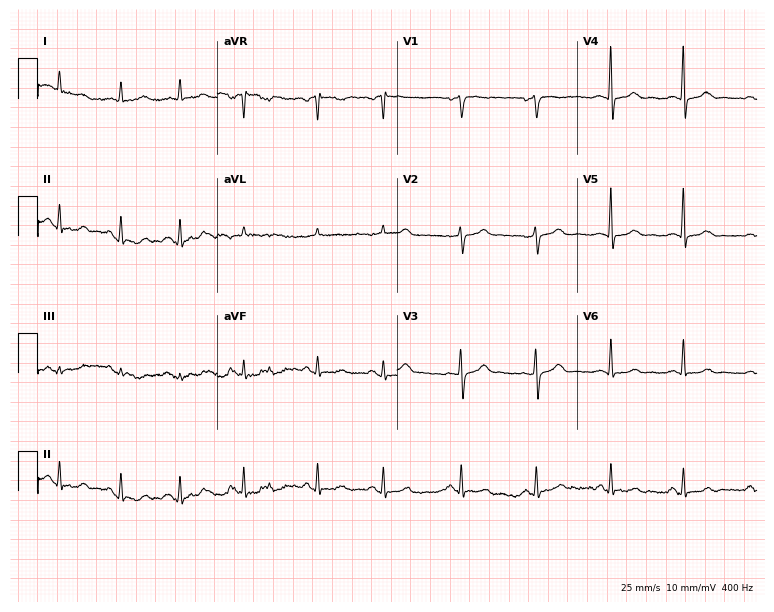
12-lead ECG from a woman, 62 years old. Labelled as a normal ECG.